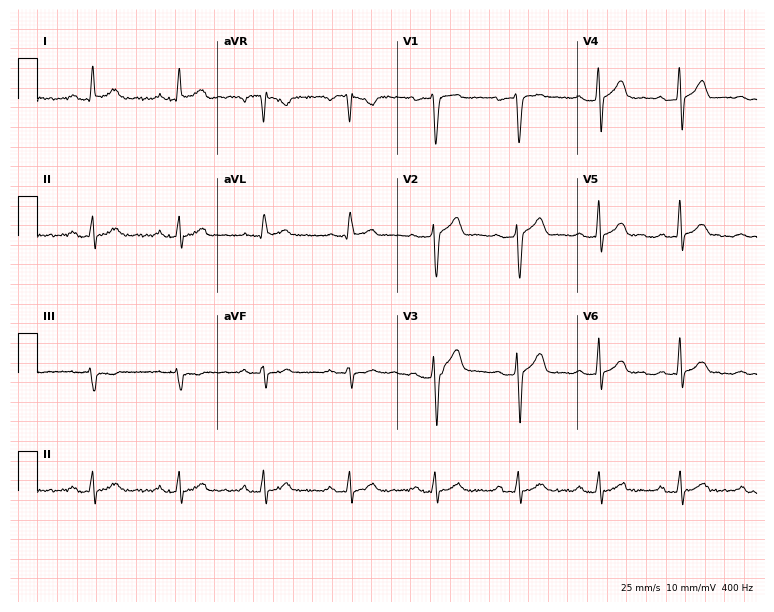
Electrocardiogram (7.3-second recording at 400 Hz), a 47-year-old man. Of the six screened findings (first-degree AV block, right bundle branch block, left bundle branch block, sinus bradycardia, atrial fibrillation, sinus tachycardia), none is recorded.